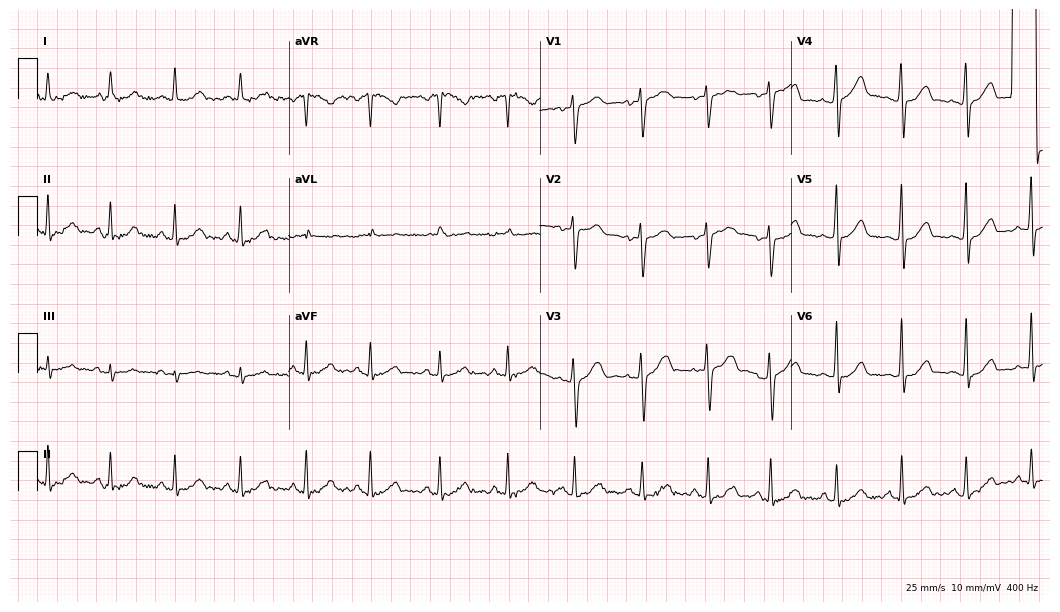
Resting 12-lead electrocardiogram (10.2-second recording at 400 Hz). Patient: a 30-year-old female. Read as a normal ECG.